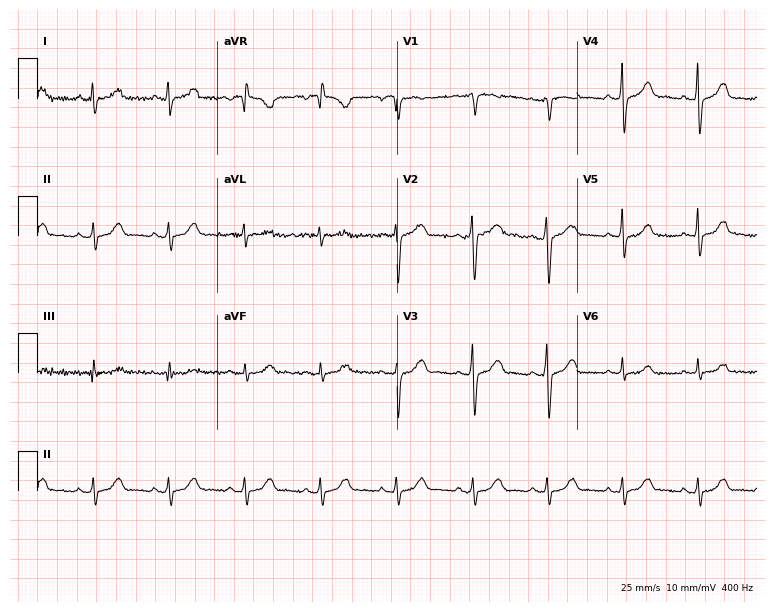
Standard 12-lead ECG recorded from a 38-year-old female patient (7.3-second recording at 400 Hz). Read as a normal ECG.